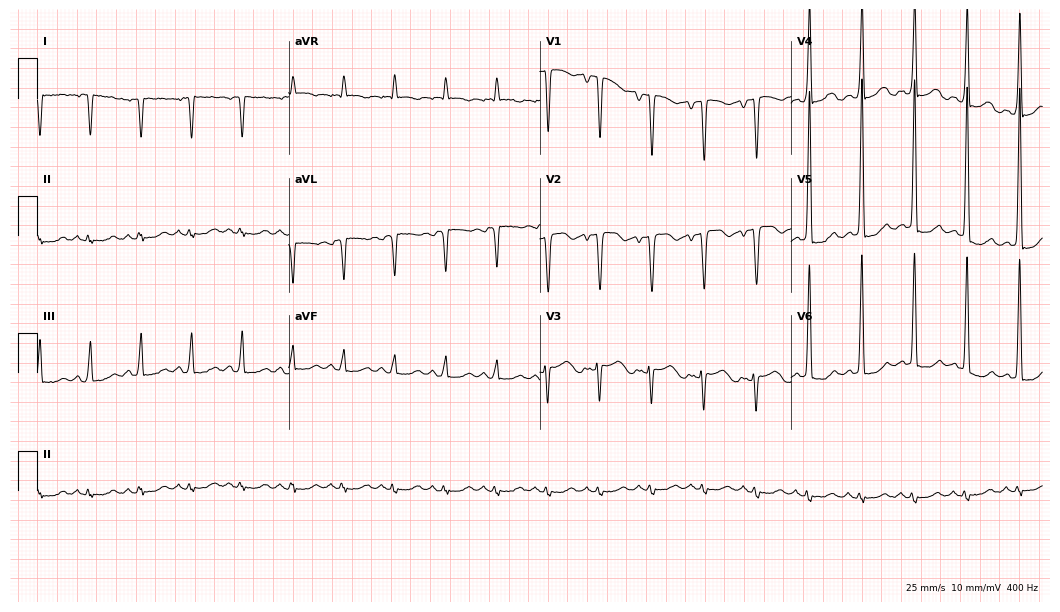
ECG — a woman, 49 years old. Screened for six findings — first-degree AV block, right bundle branch block, left bundle branch block, sinus bradycardia, atrial fibrillation, sinus tachycardia — none is recorded. Only these six findings were labelled.